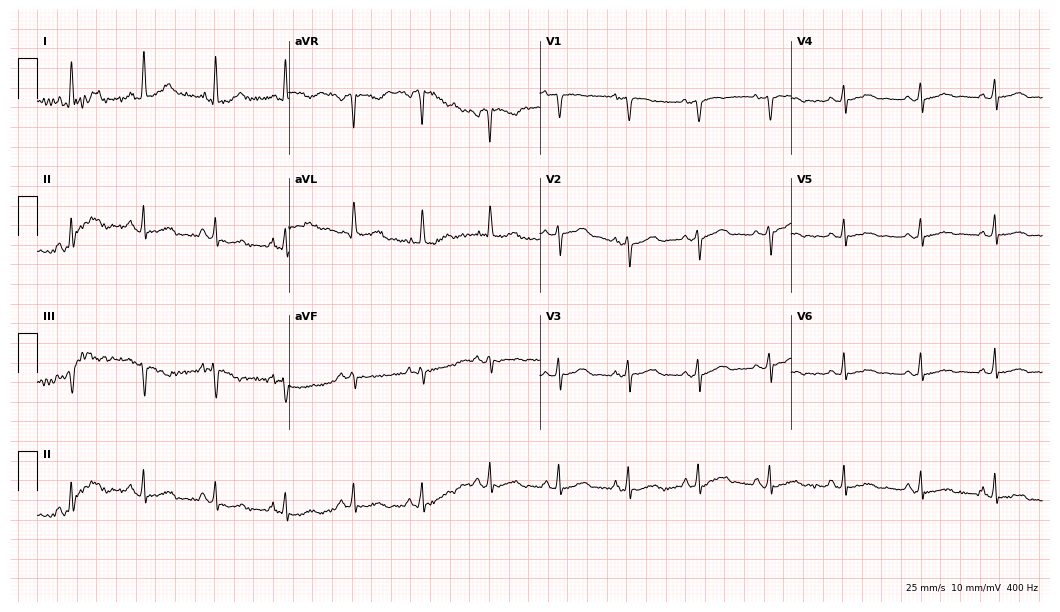
Electrocardiogram, a female, 59 years old. Of the six screened findings (first-degree AV block, right bundle branch block, left bundle branch block, sinus bradycardia, atrial fibrillation, sinus tachycardia), none is recorded. Only these six findings were labelled.